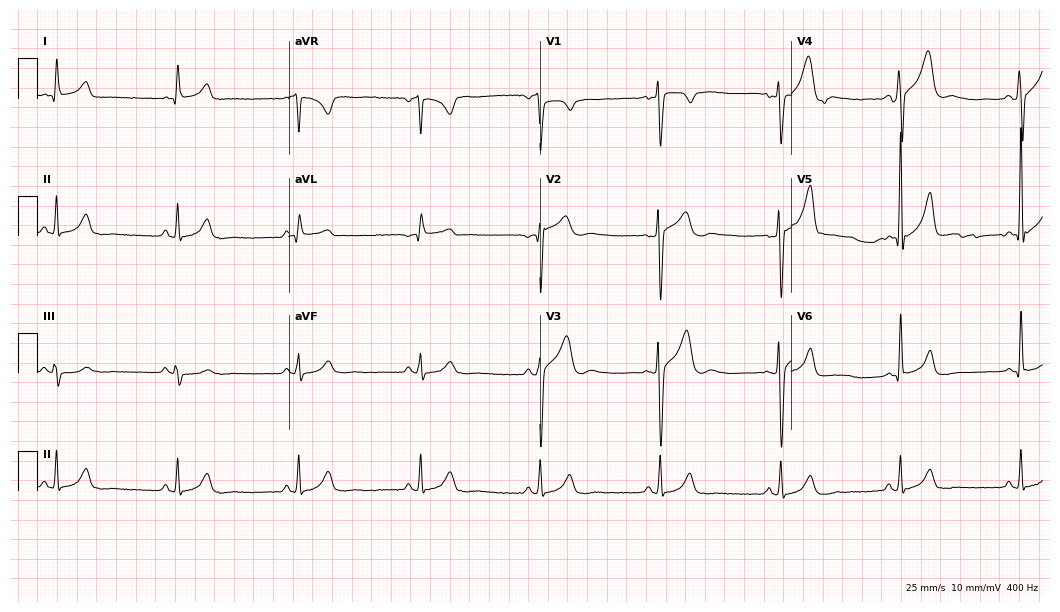
12-lead ECG from a 29-year-old male. Recorded interpretation: within normal limits.